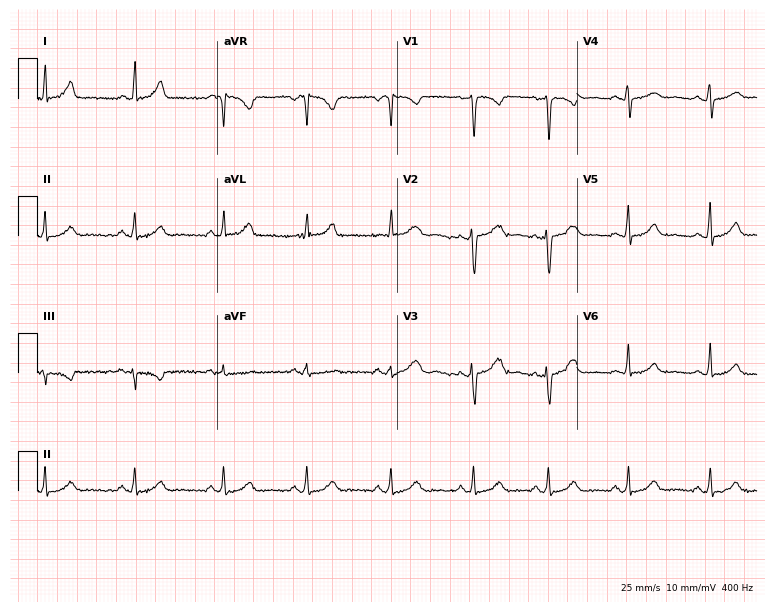
ECG — a female patient, 19 years old. Labelled as a normal ECG.